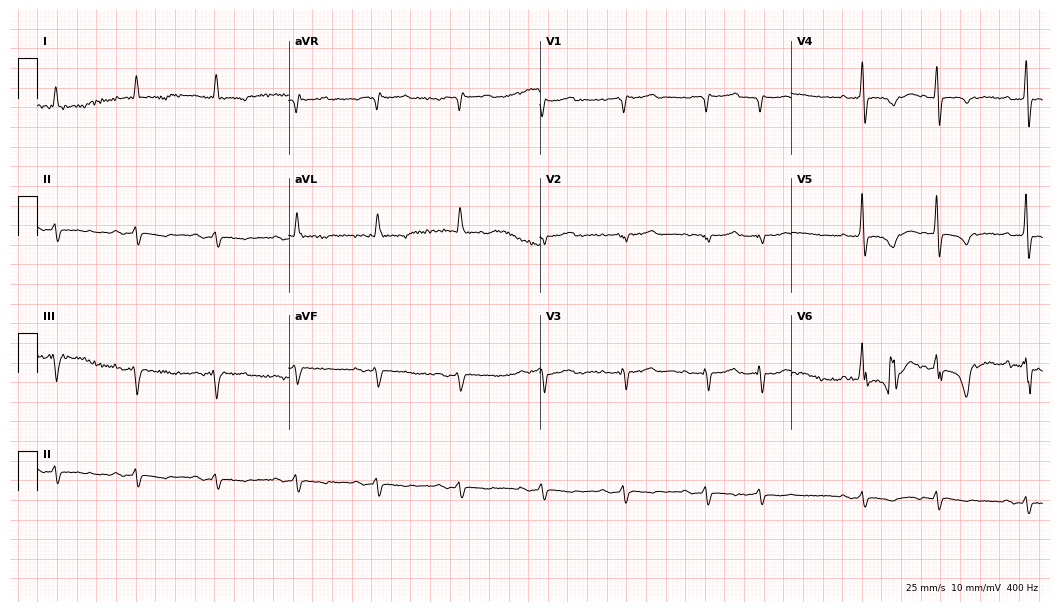
Standard 12-lead ECG recorded from an 82-year-old man (10.2-second recording at 400 Hz). None of these six findings is recorded: first-degree AV block, right bundle branch block, left bundle branch block, sinus bradycardia, atrial fibrillation, sinus tachycardia.